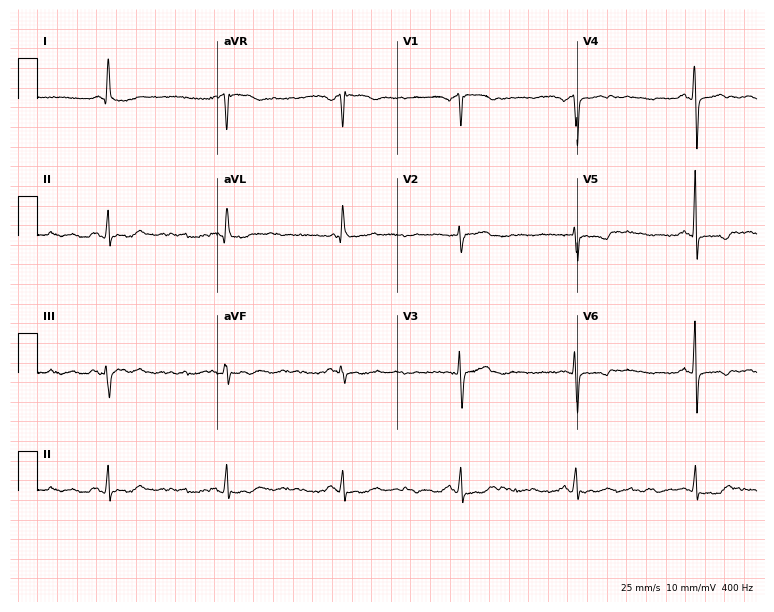
Electrocardiogram, a 60-year-old female patient. Of the six screened findings (first-degree AV block, right bundle branch block, left bundle branch block, sinus bradycardia, atrial fibrillation, sinus tachycardia), none is recorded. Findings outside these six are not listed.